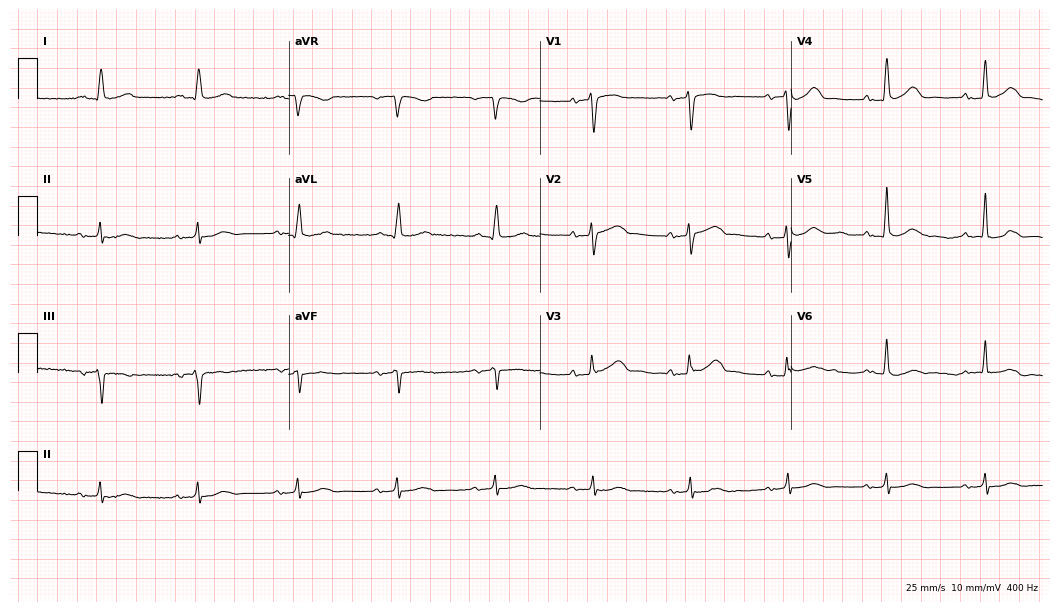
Standard 12-lead ECG recorded from an 84-year-old male (10.2-second recording at 400 Hz). Read as a normal ECG.